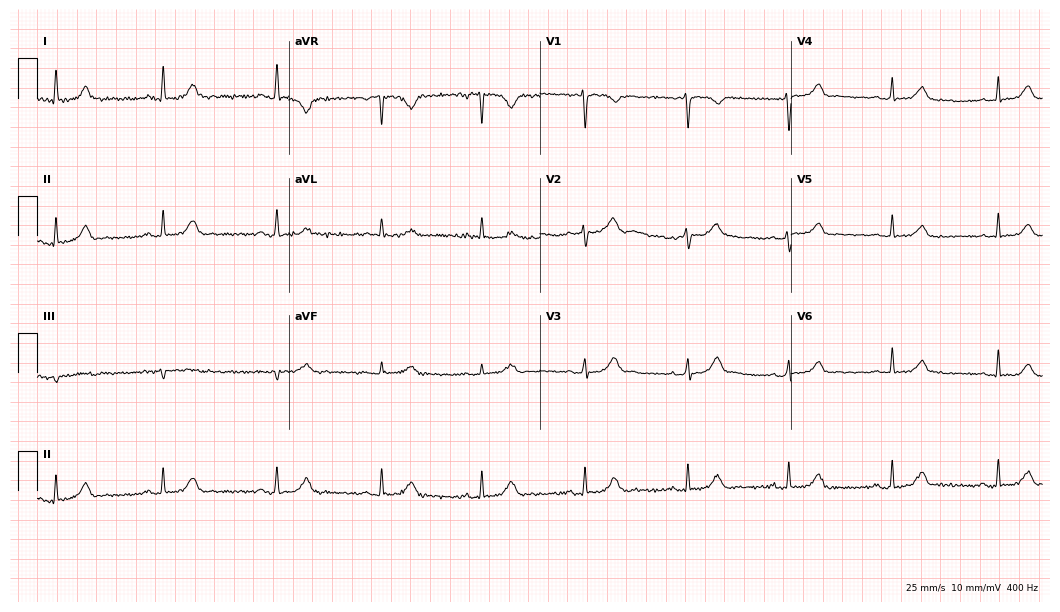
12-lead ECG (10.2-second recording at 400 Hz) from a 41-year-old woman. Screened for six findings — first-degree AV block, right bundle branch block, left bundle branch block, sinus bradycardia, atrial fibrillation, sinus tachycardia — none is recorded. Findings outside these six are not listed.